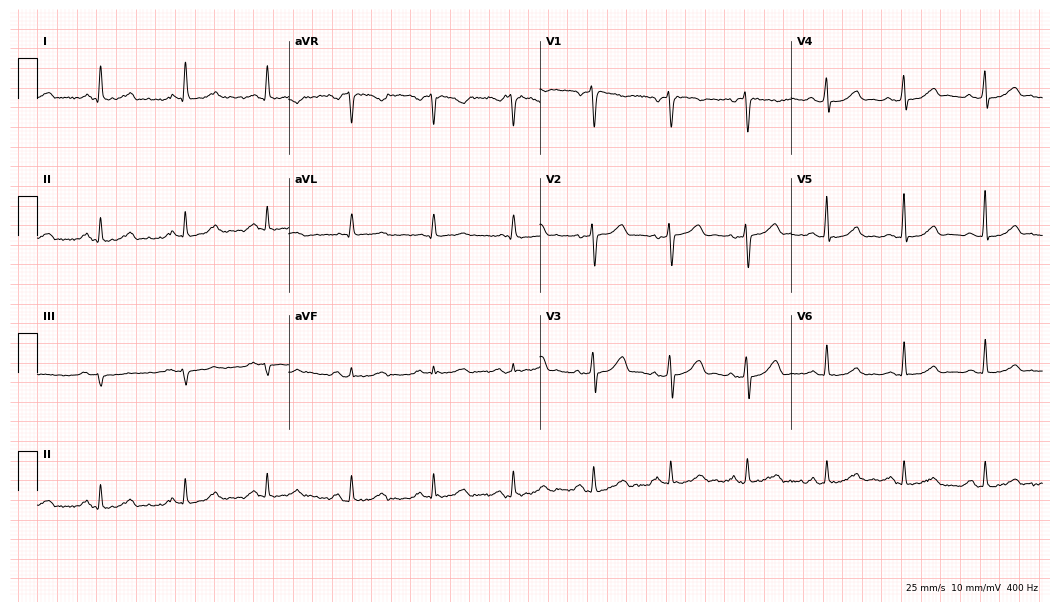
Electrocardiogram, a 49-year-old female. Overall reading on record: normal ECG.